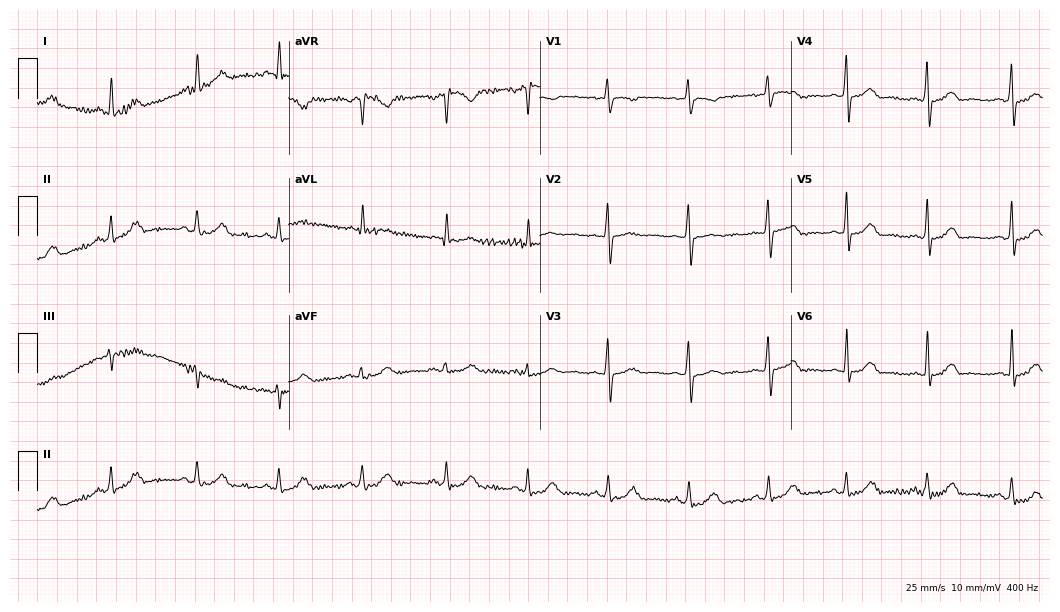
12-lead ECG (10.2-second recording at 400 Hz) from a 44-year-old female patient. Labelled as a normal ECG.